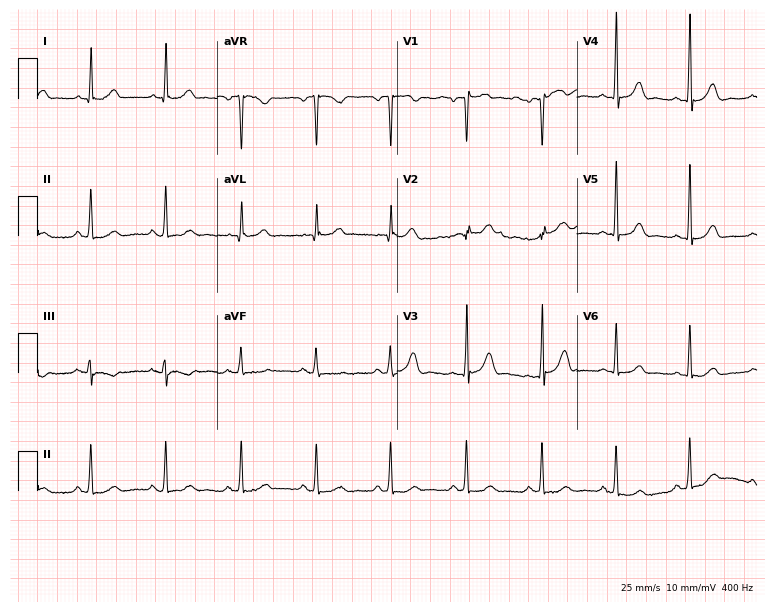
12-lead ECG from a female patient, 40 years old. Recorded interpretation: within normal limits.